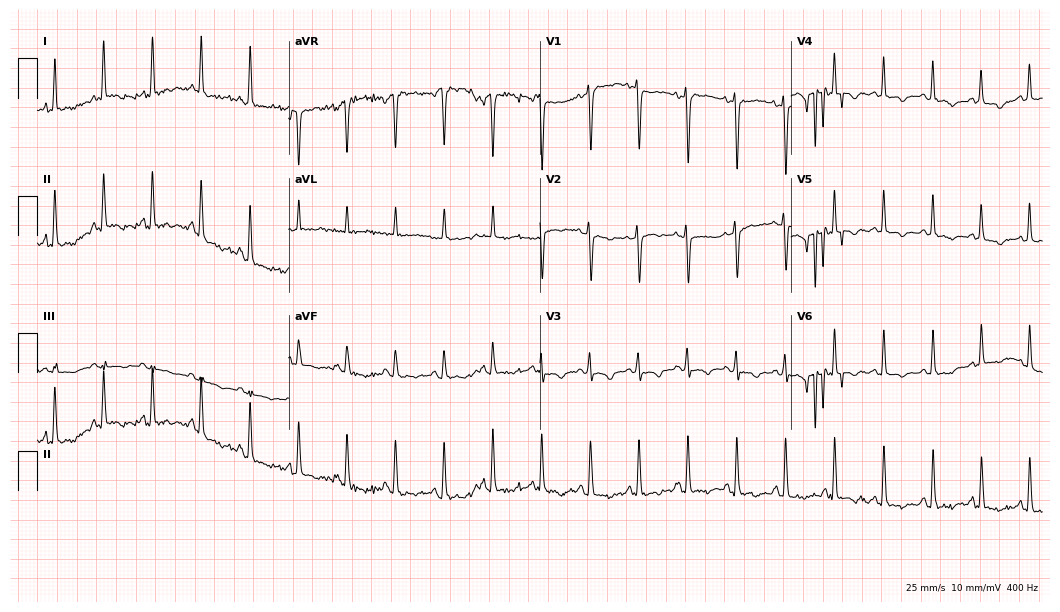
ECG — a female, 22 years old. Findings include sinus tachycardia (a sinus rate of 100 beats per minute or more).